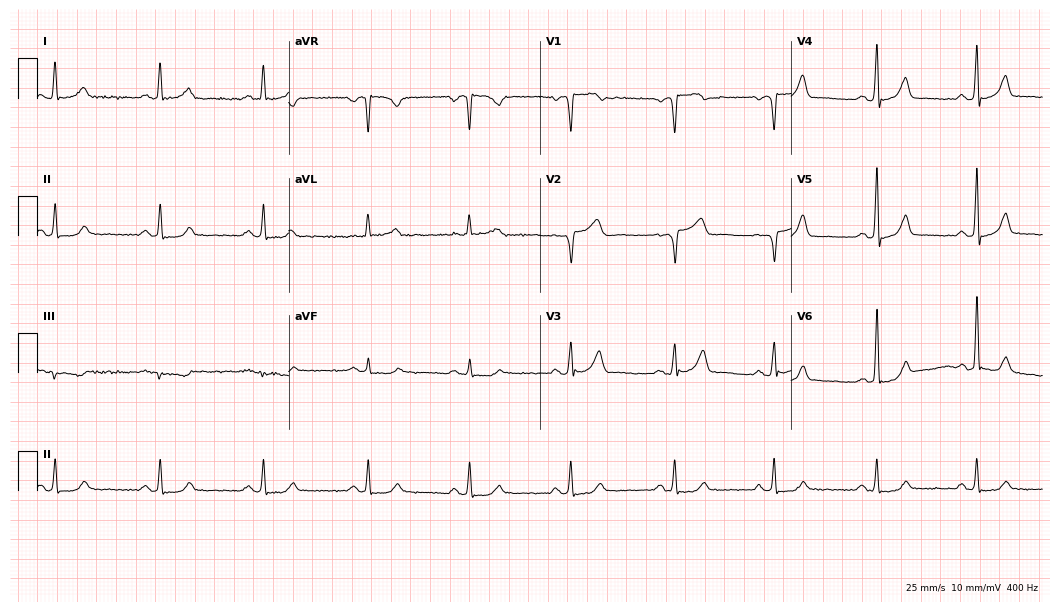
Resting 12-lead electrocardiogram. Patient: a male, 57 years old. Read as a normal ECG.